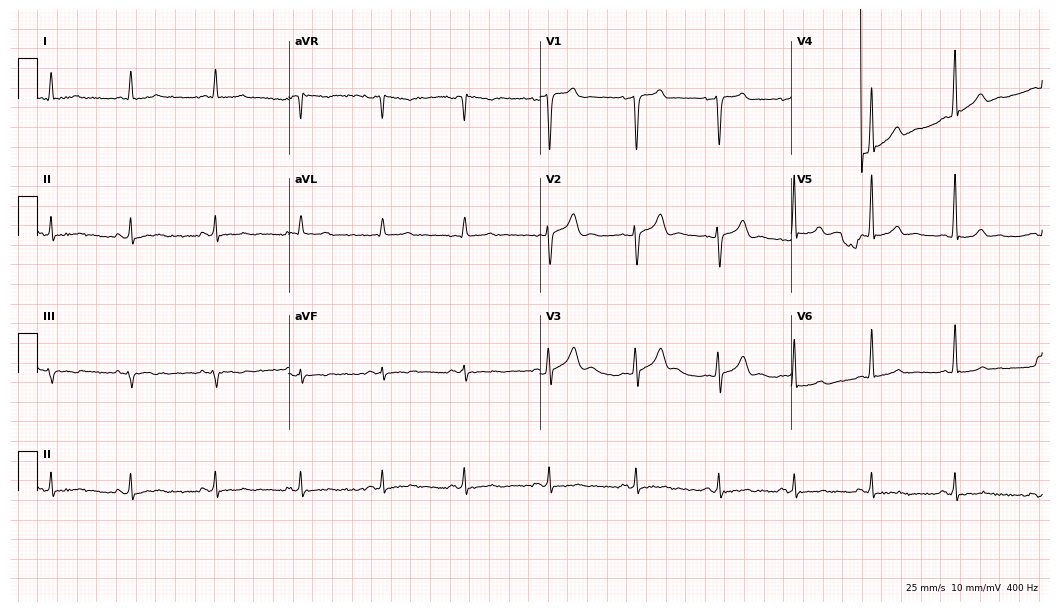
Resting 12-lead electrocardiogram (10.2-second recording at 400 Hz). Patient: a male, 34 years old. None of these six findings is recorded: first-degree AV block, right bundle branch block, left bundle branch block, sinus bradycardia, atrial fibrillation, sinus tachycardia. Other findings, if any, are not listed.